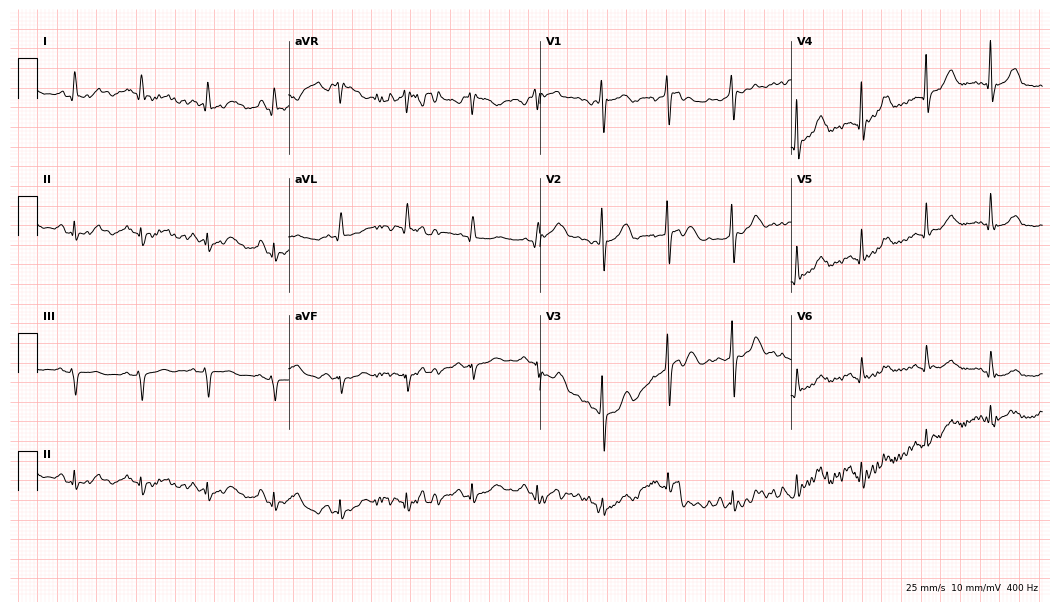
Standard 12-lead ECG recorded from a 75-year-old female (10.2-second recording at 400 Hz). Read as a normal ECG.